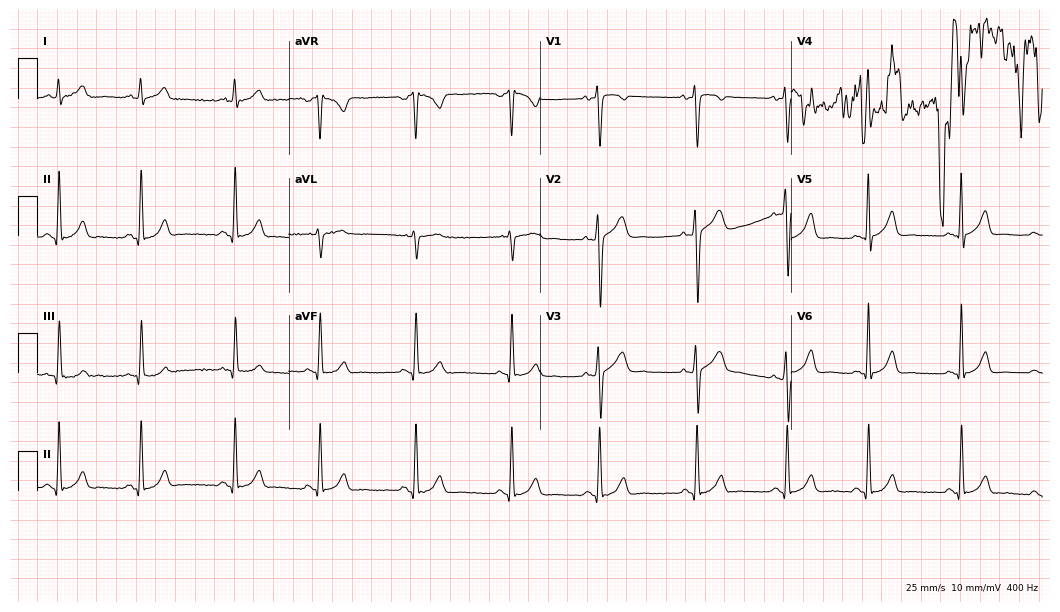
Resting 12-lead electrocardiogram (10.2-second recording at 400 Hz). Patient: a 25-year-old woman. None of these six findings is recorded: first-degree AV block, right bundle branch block, left bundle branch block, sinus bradycardia, atrial fibrillation, sinus tachycardia. Other findings, if any, are not listed.